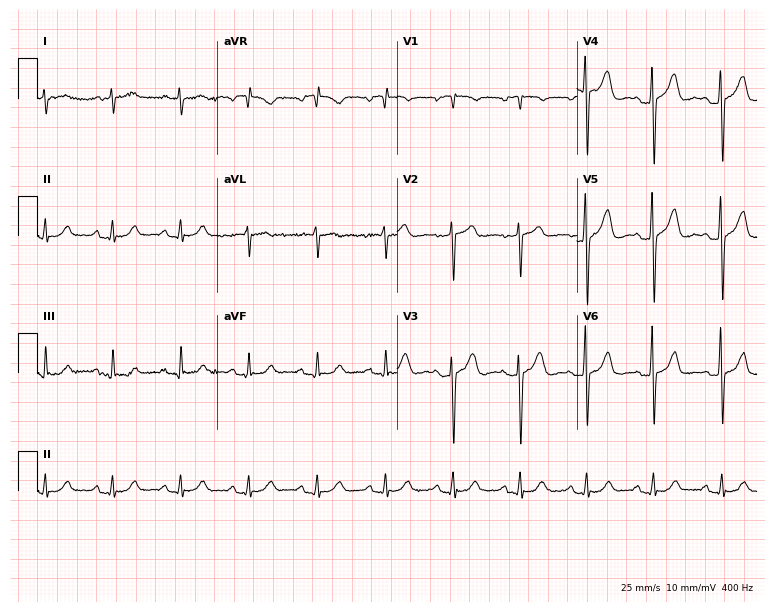
12-lead ECG from a male, 52 years old. Screened for six findings — first-degree AV block, right bundle branch block (RBBB), left bundle branch block (LBBB), sinus bradycardia, atrial fibrillation (AF), sinus tachycardia — none is recorded.